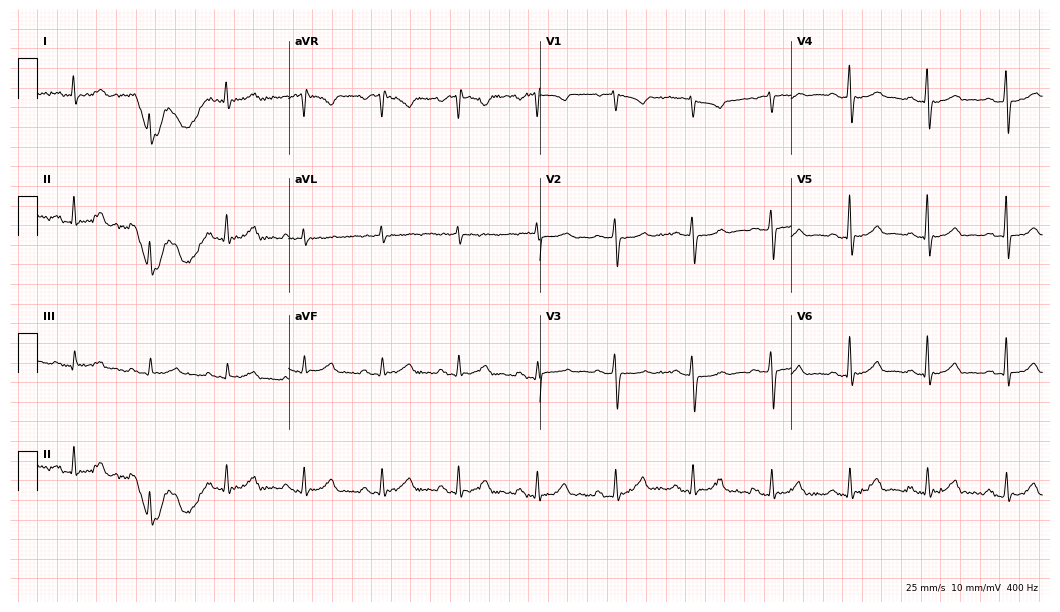
Electrocardiogram (10.2-second recording at 400 Hz), a female patient, 67 years old. Overall reading on record: normal ECG.